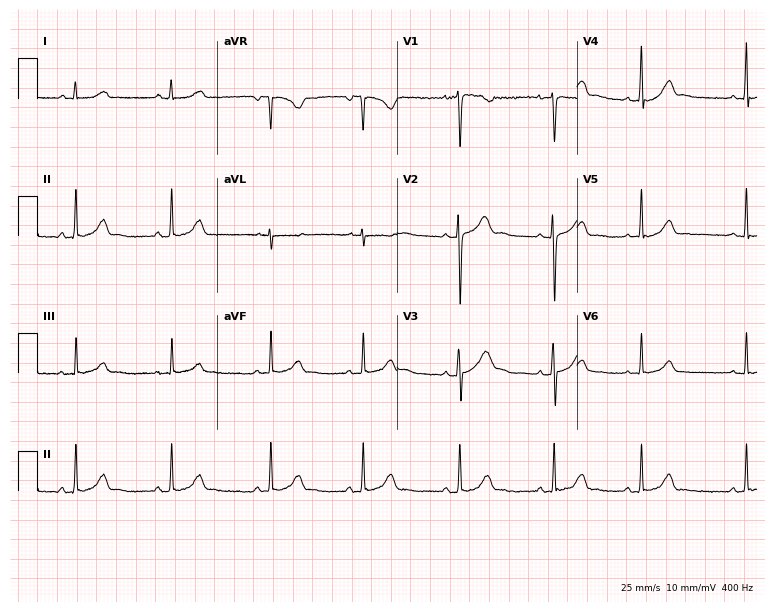
Standard 12-lead ECG recorded from a 17-year-old woman. Read as a normal ECG.